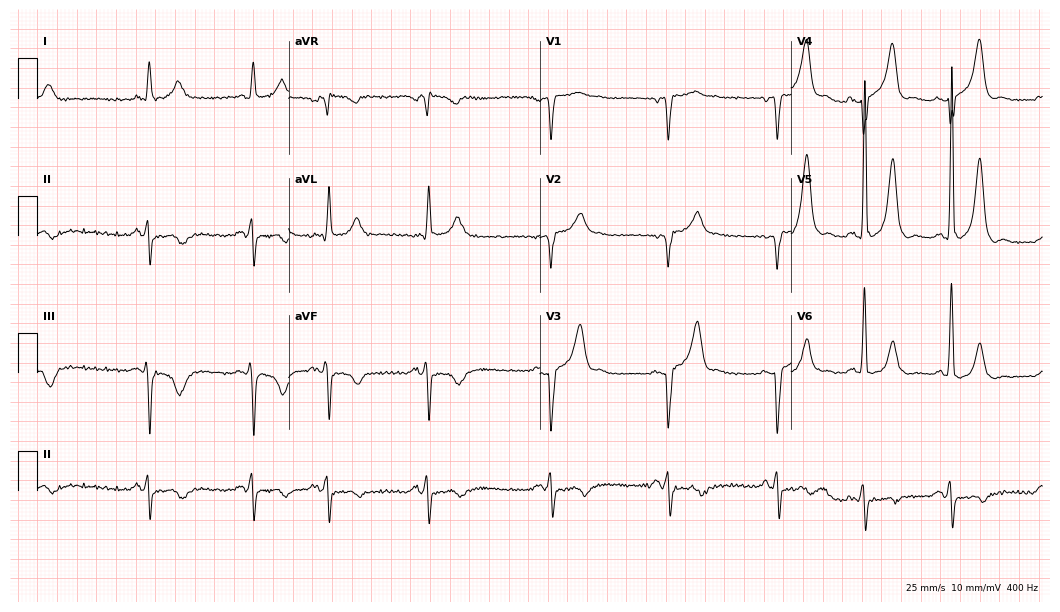
Electrocardiogram (10.2-second recording at 400 Hz), a 78-year-old male patient. Of the six screened findings (first-degree AV block, right bundle branch block (RBBB), left bundle branch block (LBBB), sinus bradycardia, atrial fibrillation (AF), sinus tachycardia), none is recorded. Other findings, if any, are not listed.